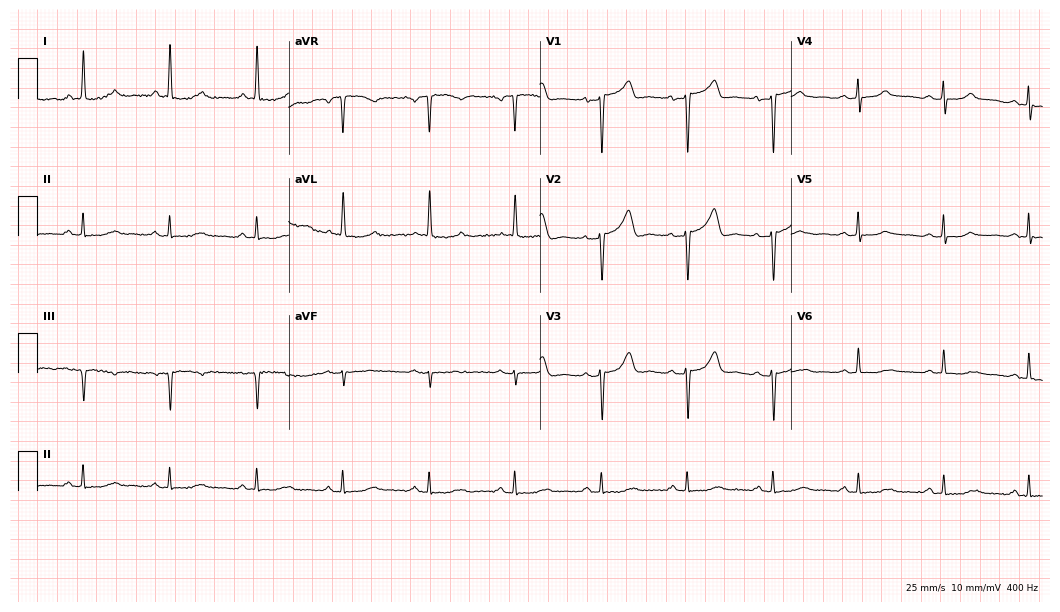
12-lead ECG from a female, 66 years old. Labelled as a normal ECG.